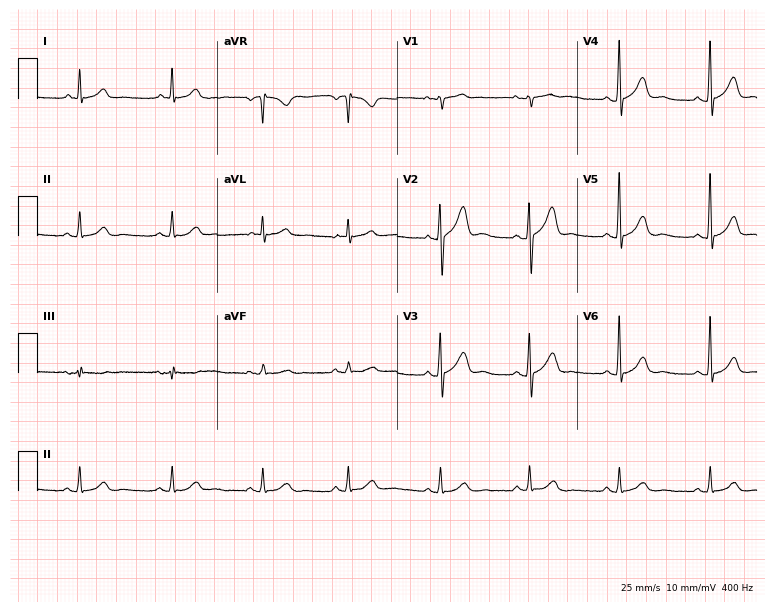
Electrocardiogram, a male patient, 57 years old. Overall reading on record: normal ECG.